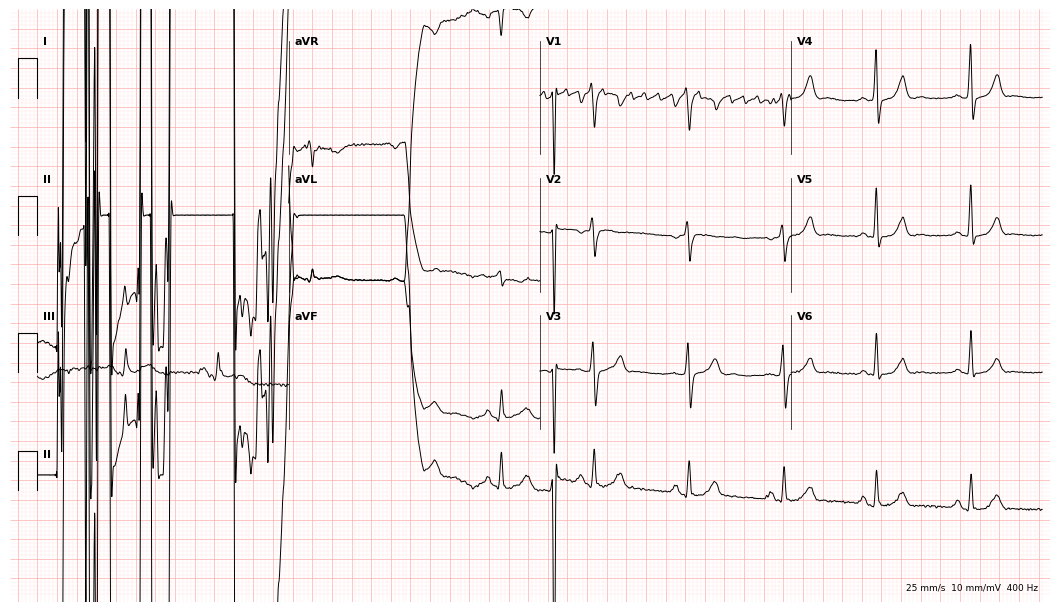
Resting 12-lead electrocardiogram (10.2-second recording at 400 Hz). Patient: a 56-year-old man. None of these six findings is recorded: first-degree AV block, right bundle branch block, left bundle branch block, sinus bradycardia, atrial fibrillation, sinus tachycardia. Only these six findings were labelled.